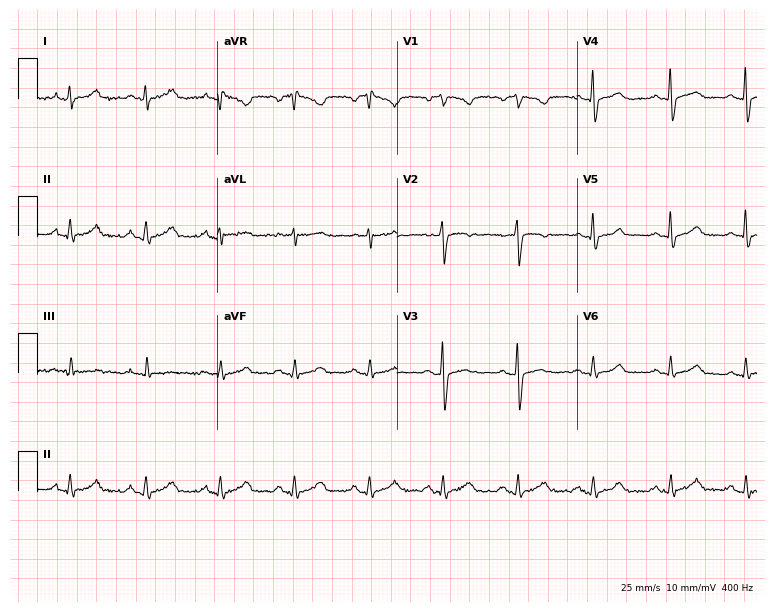
12-lead ECG (7.3-second recording at 400 Hz) from a 26-year-old female patient. Labelled as a normal ECG.